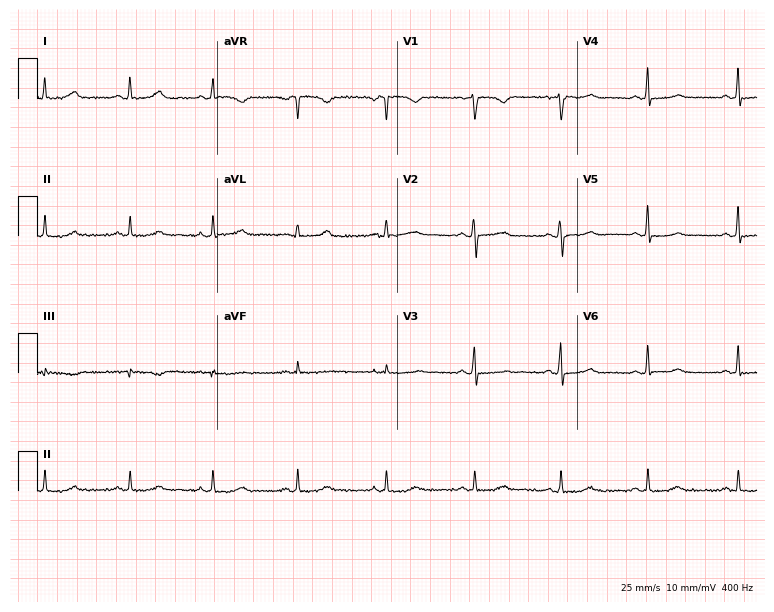
Standard 12-lead ECG recorded from a female patient, 45 years old (7.3-second recording at 400 Hz). None of these six findings is recorded: first-degree AV block, right bundle branch block, left bundle branch block, sinus bradycardia, atrial fibrillation, sinus tachycardia. Findings outside these six are not listed.